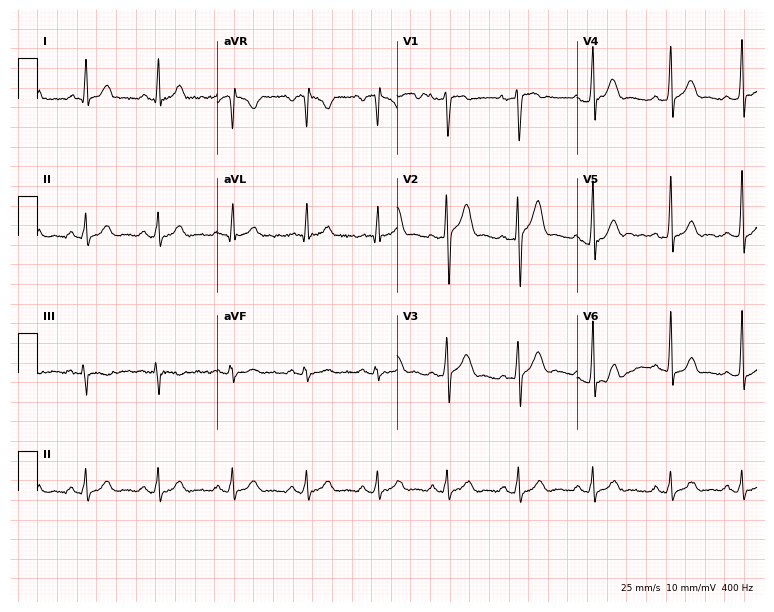
12-lead ECG from a 43-year-old man. Recorded interpretation: within normal limits.